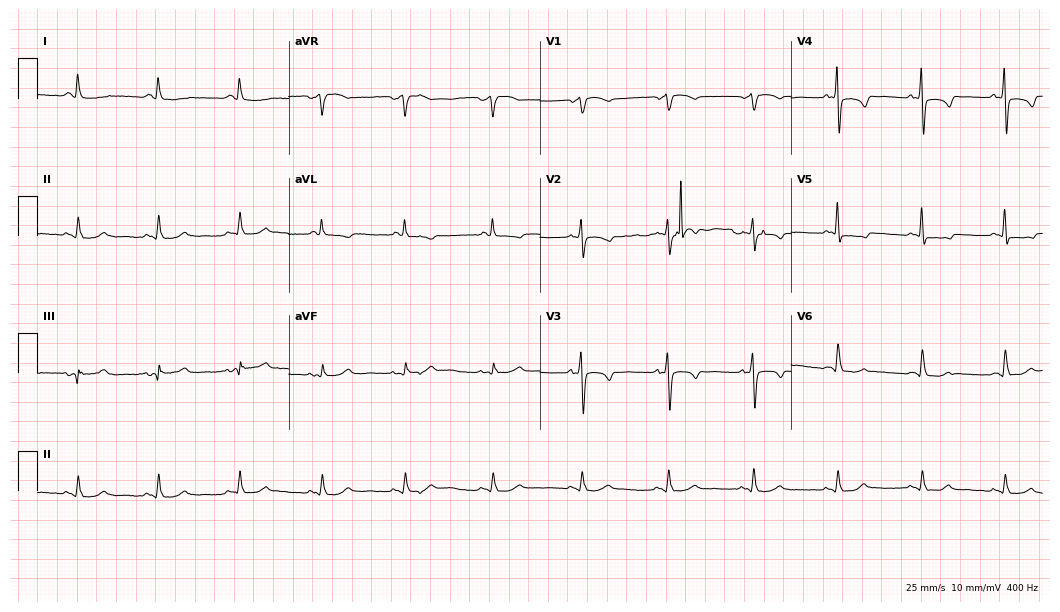
Electrocardiogram, a 71-year-old female. Of the six screened findings (first-degree AV block, right bundle branch block, left bundle branch block, sinus bradycardia, atrial fibrillation, sinus tachycardia), none is recorded.